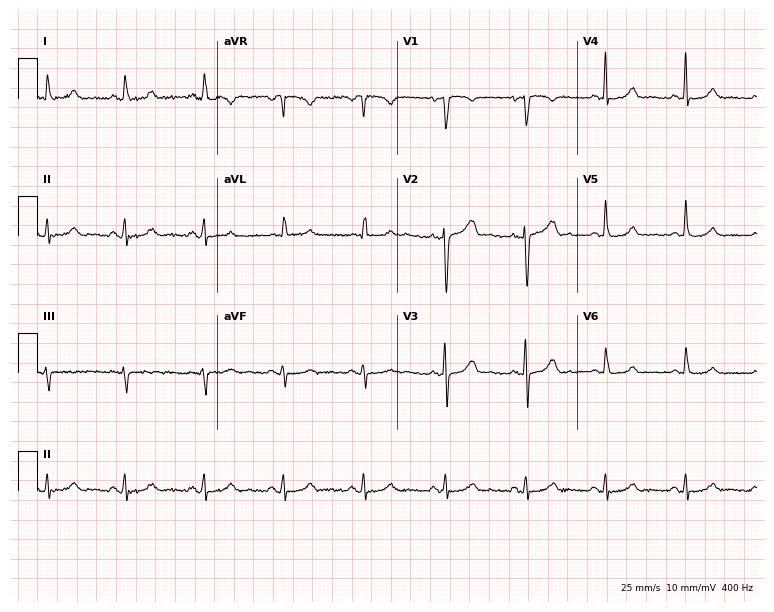
12-lead ECG from a 47-year-old female (7.3-second recording at 400 Hz). No first-degree AV block, right bundle branch block (RBBB), left bundle branch block (LBBB), sinus bradycardia, atrial fibrillation (AF) or sinus tachycardia recorded for this tracing. Findings outside these six are not listed.